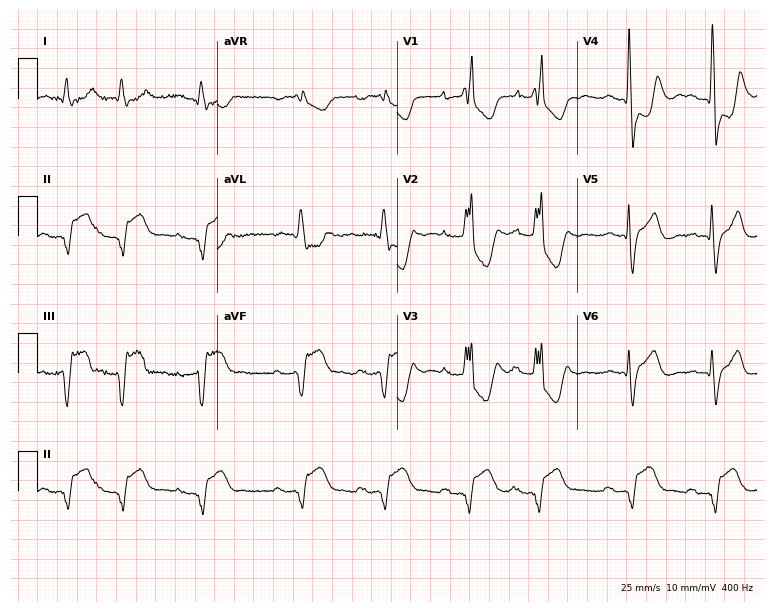
12-lead ECG from a 76-year-old male patient. Findings include first-degree AV block, right bundle branch block.